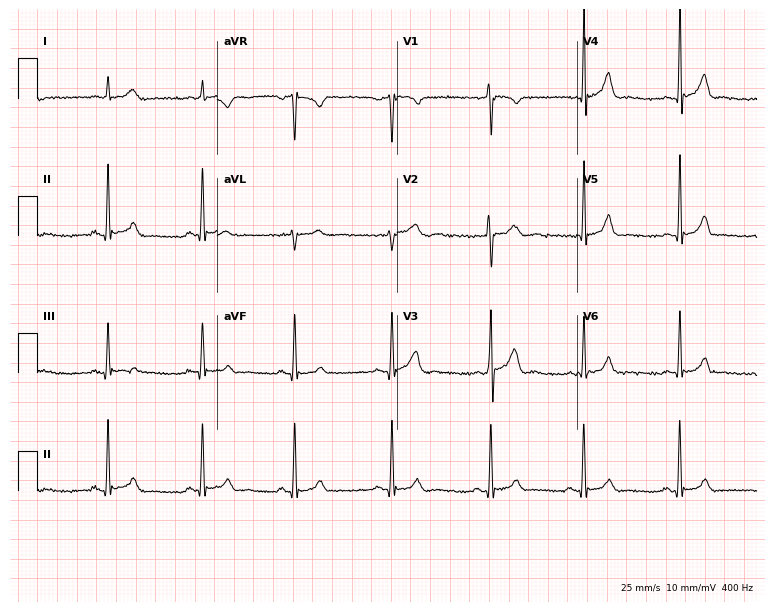
Standard 12-lead ECG recorded from a 19-year-old male. None of these six findings is recorded: first-degree AV block, right bundle branch block, left bundle branch block, sinus bradycardia, atrial fibrillation, sinus tachycardia. Findings outside these six are not listed.